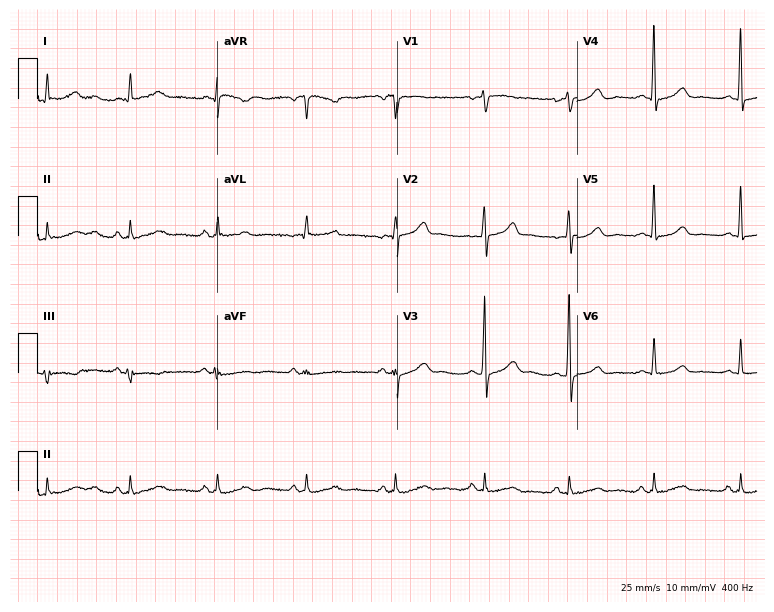
12-lead ECG from a 55-year-old female patient. Screened for six findings — first-degree AV block, right bundle branch block, left bundle branch block, sinus bradycardia, atrial fibrillation, sinus tachycardia — none is recorded. Findings outside these six are not listed.